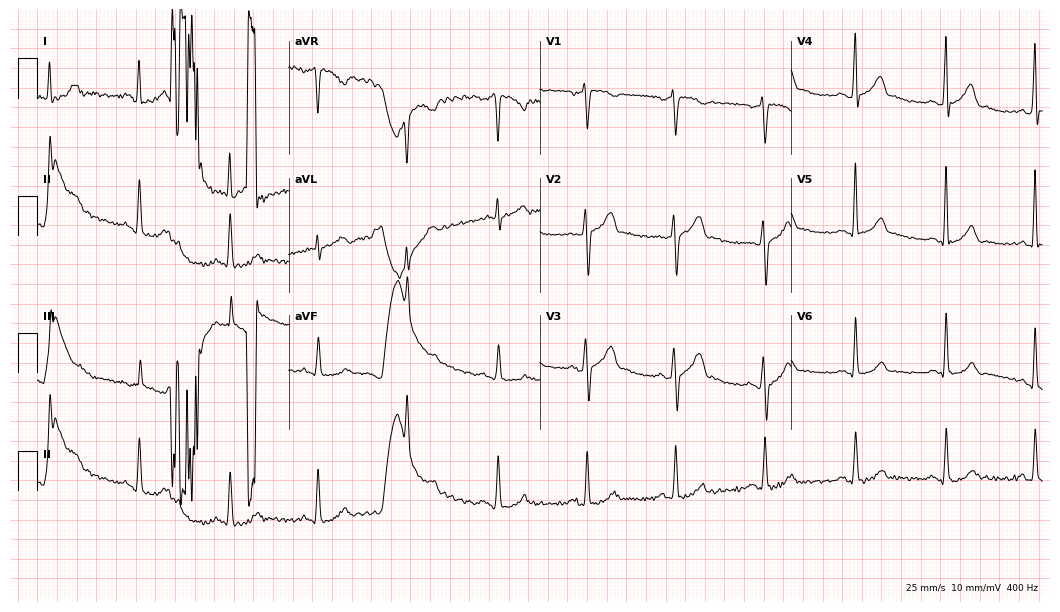
12-lead ECG from a male, 53 years old. Labelled as a normal ECG.